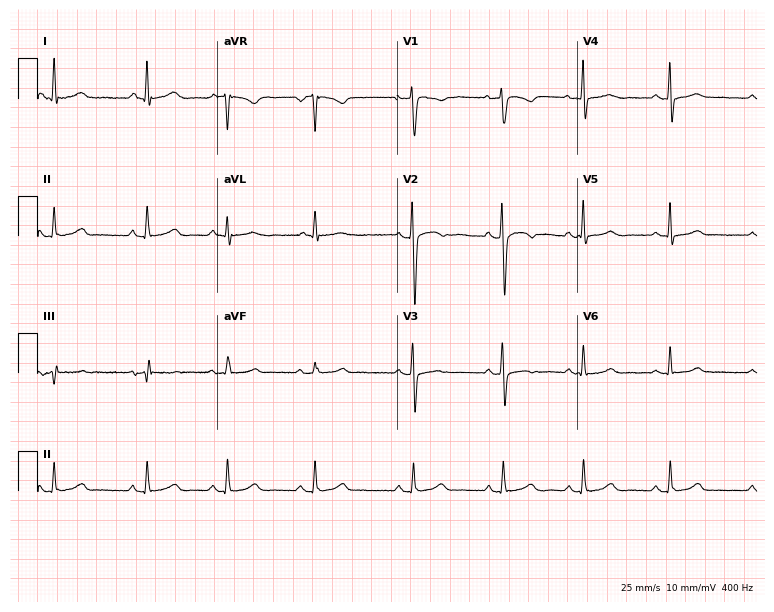
Standard 12-lead ECG recorded from a woman, 38 years old. Read as a normal ECG.